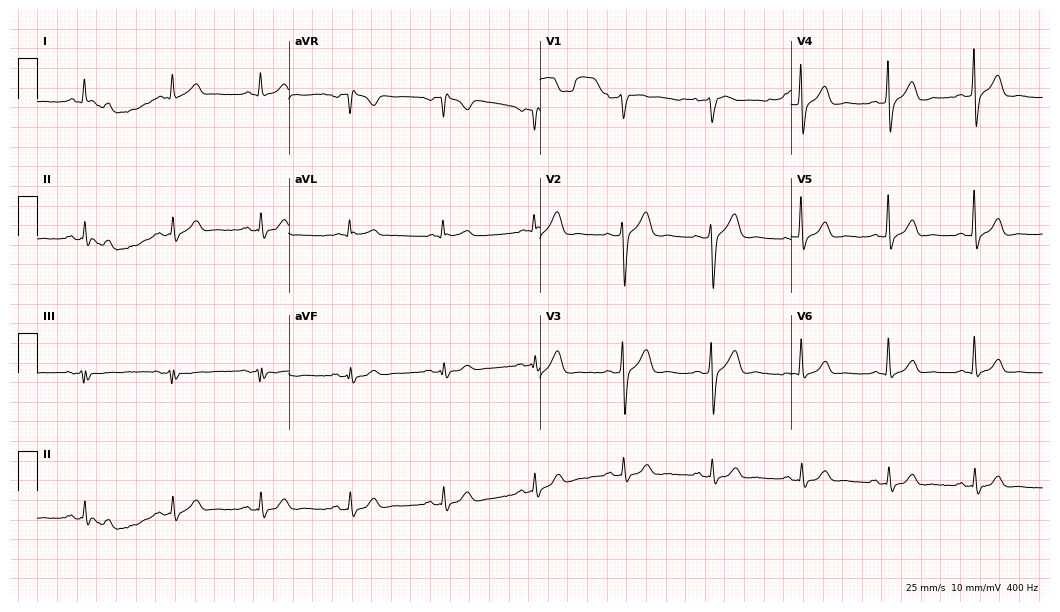
Standard 12-lead ECG recorded from a man, 51 years old (10.2-second recording at 400 Hz). None of these six findings is recorded: first-degree AV block, right bundle branch block (RBBB), left bundle branch block (LBBB), sinus bradycardia, atrial fibrillation (AF), sinus tachycardia.